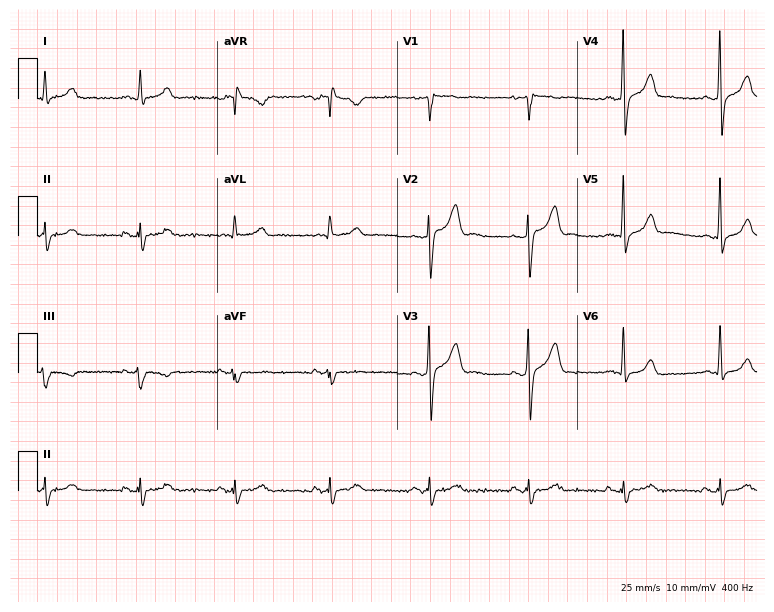
Standard 12-lead ECG recorded from a 43-year-old male (7.3-second recording at 400 Hz). None of these six findings is recorded: first-degree AV block, right bundle branch block, left bundle branch block, sinus bradycardia, atrial fibrillation, sinus tachycardia.